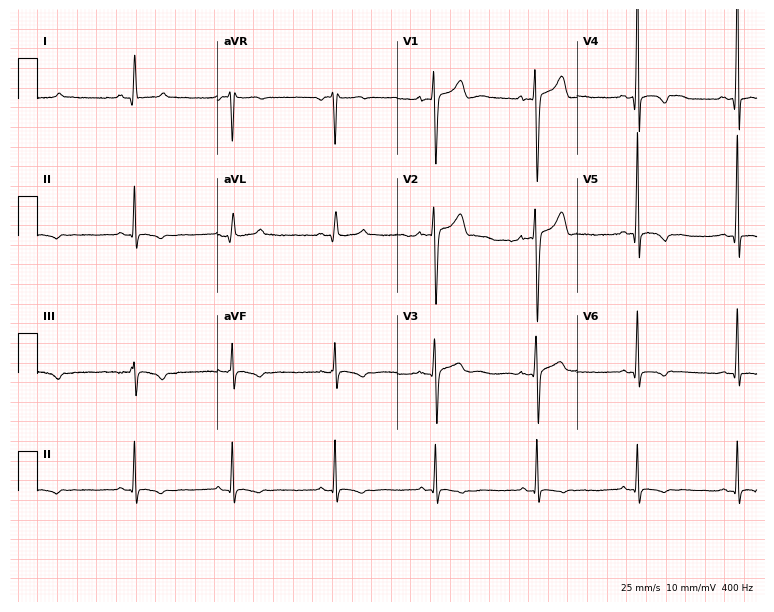
12-lead ECG from a male patient, 18 years old. No first-degree AV block, right bundle branch block (RBBB), left bundle branch block (LBBB), sinus bradycardia, atrial fibrillation (AF) or sinus tachycardia recorded for this tracing.